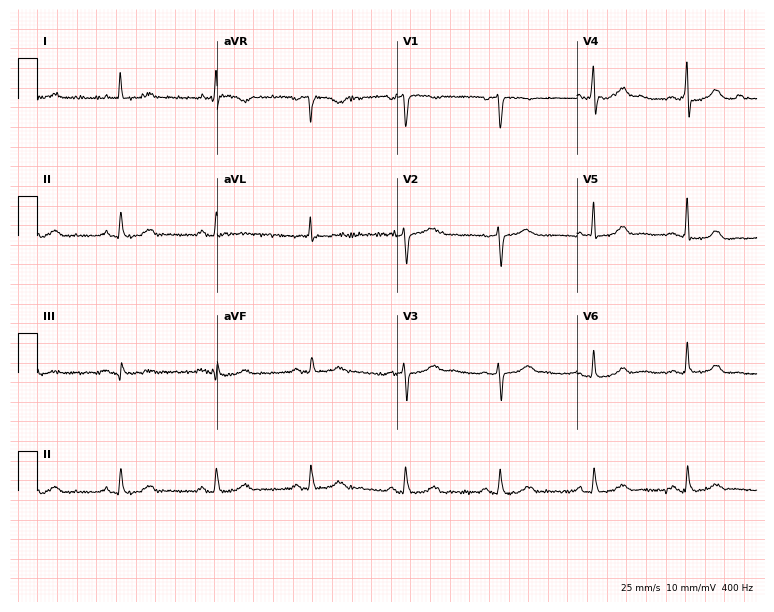
Standard 12-lead ECG recorded from a 60-year-old female (7.3-second recording at 400 Hz). Read as a normal ECG.